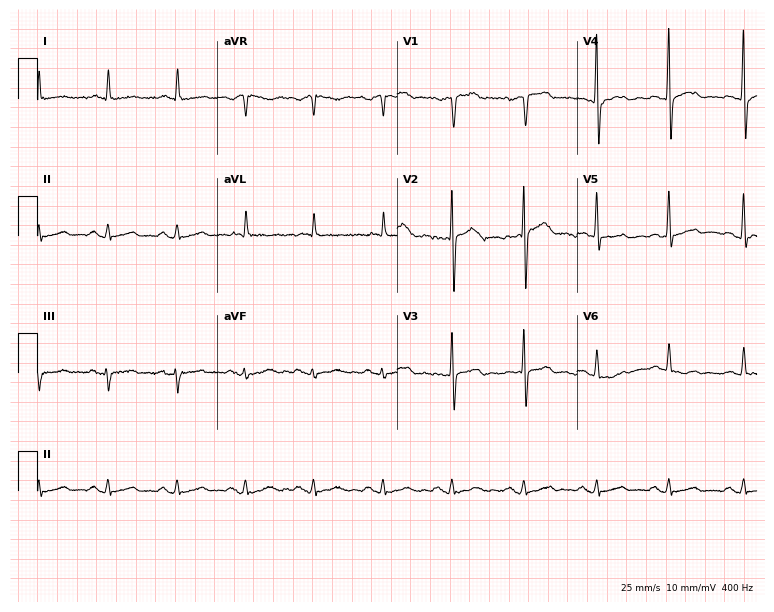
Resting 12-lead electrocardiogram (7.3-second recording at 400 Hz). Patient: a 56-year-old man. None of these six findings is recorded: first-degree AV block, right bundle branch block, left bundle branch block, sinus bradycardia, atrial fibrillation, sinus tachycardia.